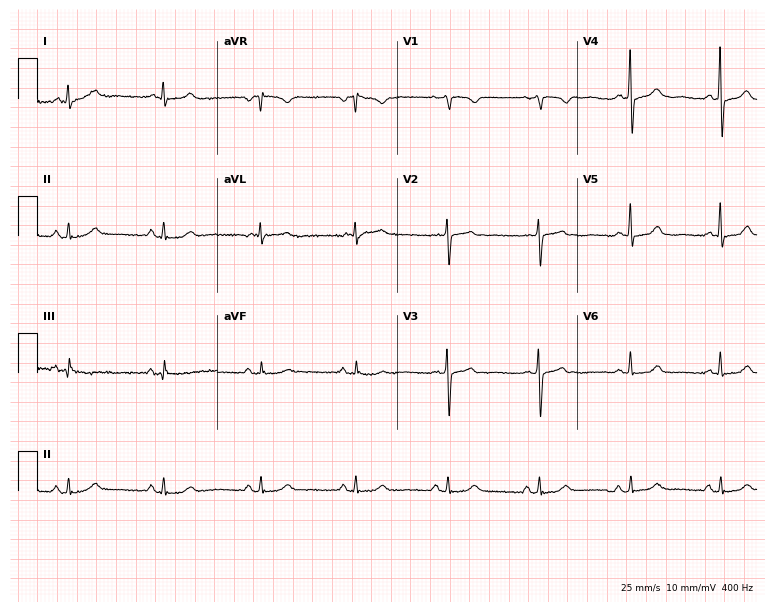
Electrocardiogram (7.3-second recording at 400 Hz), a female, 73 years old. Overall reading on record: normal ECG.